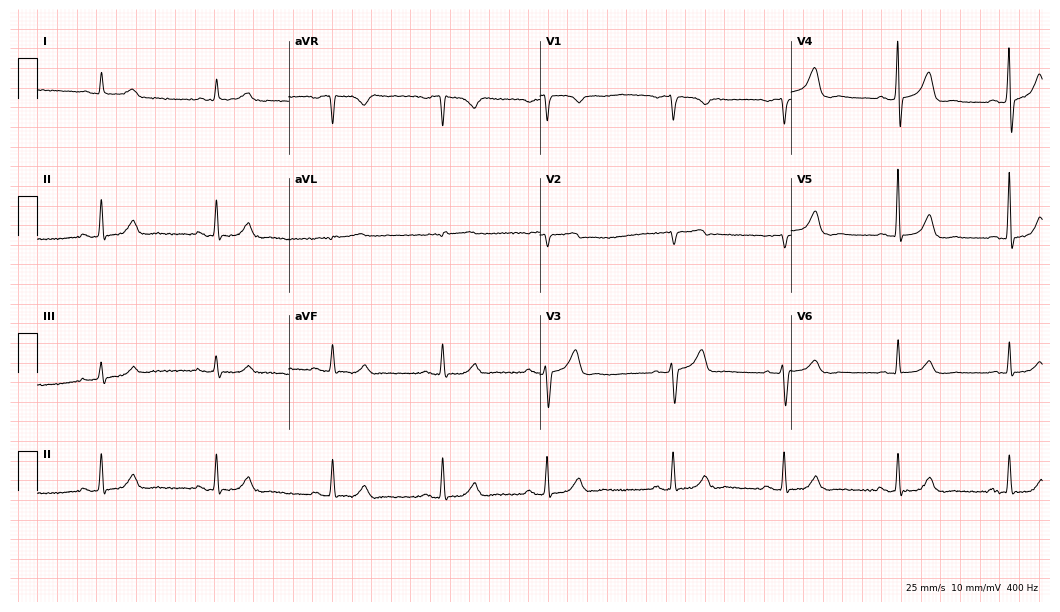
Resting 12-lead electrocardiogram (10.2-second recording at 400 Hz). Patient: a male, 76 years old. Read as a normal ECG.